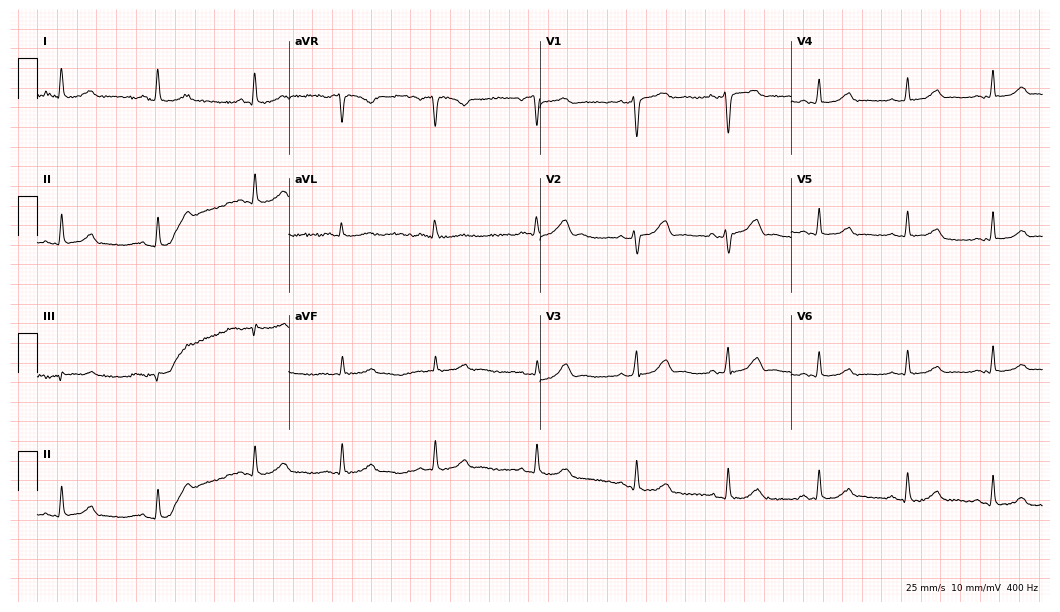
12-lead ECG from a woman, 47 years old. Labelled as a normal ECG.